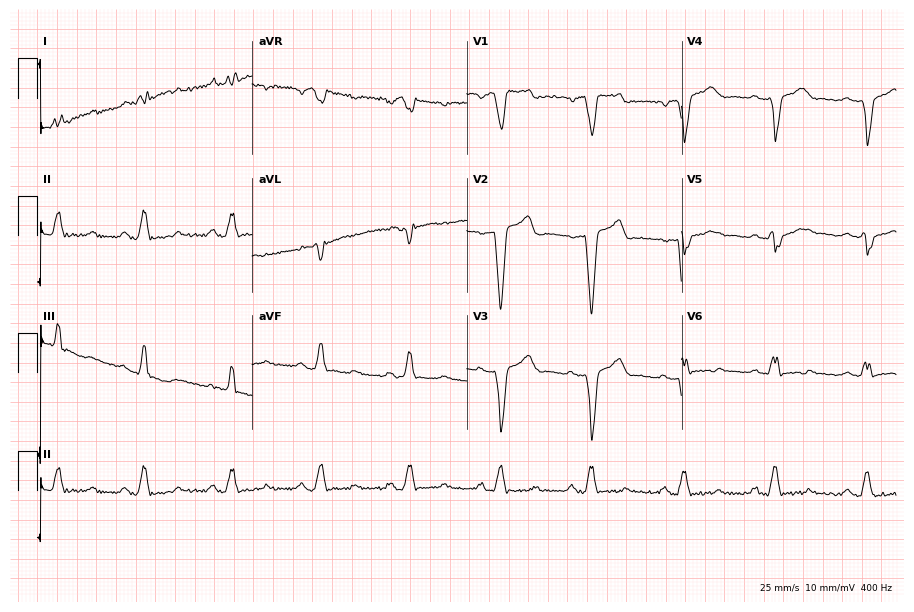
12-lead ECG from a 43-year-old female patient (8.8-second recording at 400 Hz). No first-degree AV block, right bundle branch block (RBBB), left bundle branch block (LBBB), sinus bradycardia, atrial fibrillation (AF) or sinus tachycardia recorded for this tracing. Findings outside these six are not listed.